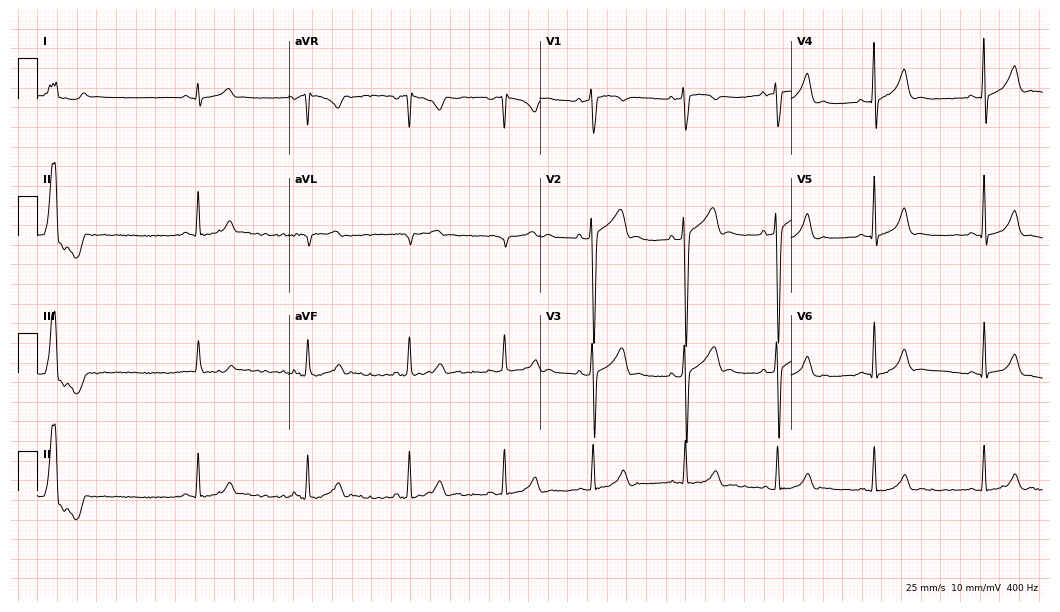
Standard 12-lead ECG recorded from a 27-year-old male (10.2-second recording at 400 Hz). None of these six findings is recorded: first-degree AV block, right bundle branch block, left bundle branch block, sinus bradycardia, atrial fibrillation, sinus tachycardia.